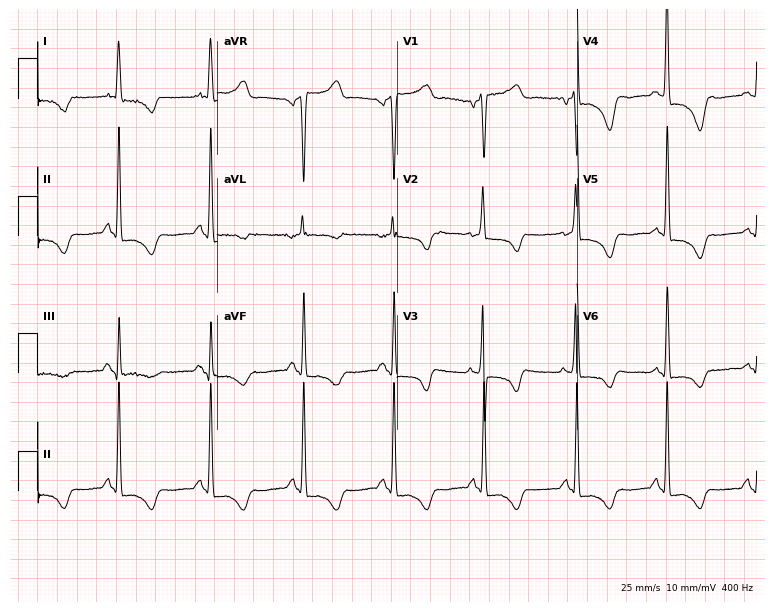
12-lead ECG from a female, 31 years old. Screened for six findings — first-degree AV block, right bundle branch block, left bundle branch block, sinus bradycardia, atrial fibrillation, sinus tachycardia — none is recorded. Other findings, if any, are not listed.